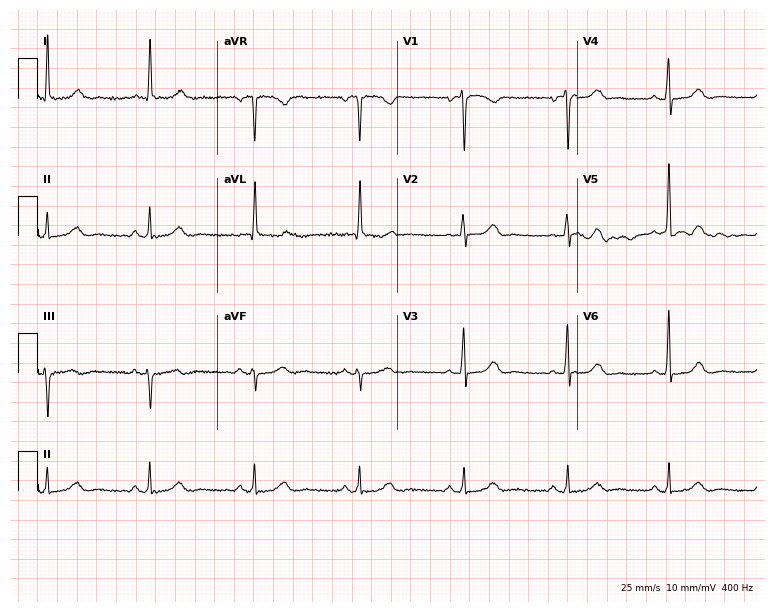
12-lead ECG from a 66-year-old female. Recorded interpretation: within normal limits.